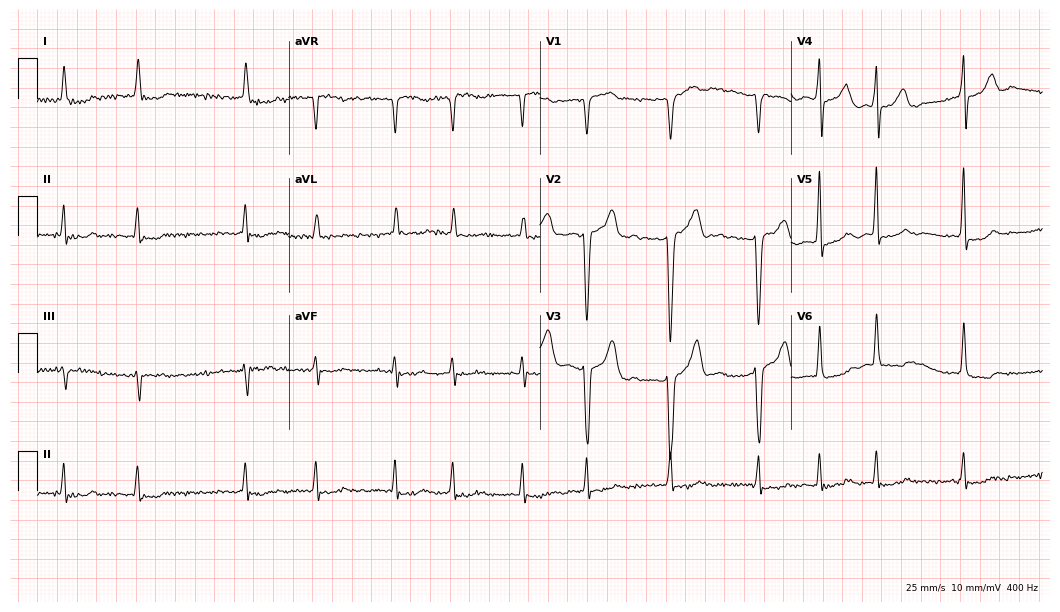
Resting 12-lead electrocardiogram (10.2-second recording at 400 Hz). Patient: a female, 69 years old. The tracing shows atrial fibrillation.